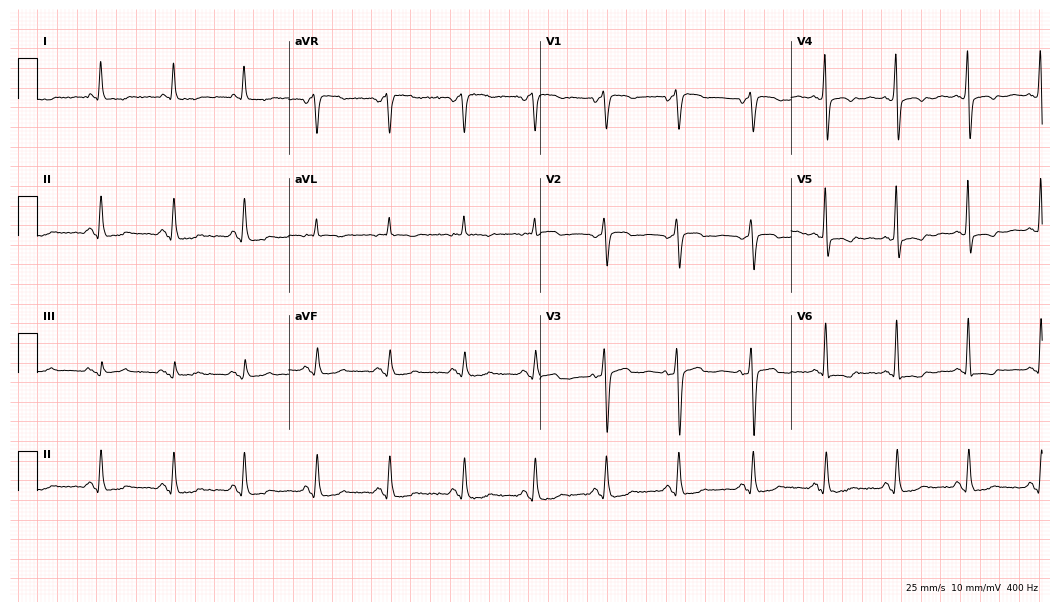
ECG — a 67-year-old female. Screened for six findings — first-degree AV block, right bundle branch block, left bundle branch block, sinus bradycardia, atrial fibrillation, sinus tachycardia — none is recorded.